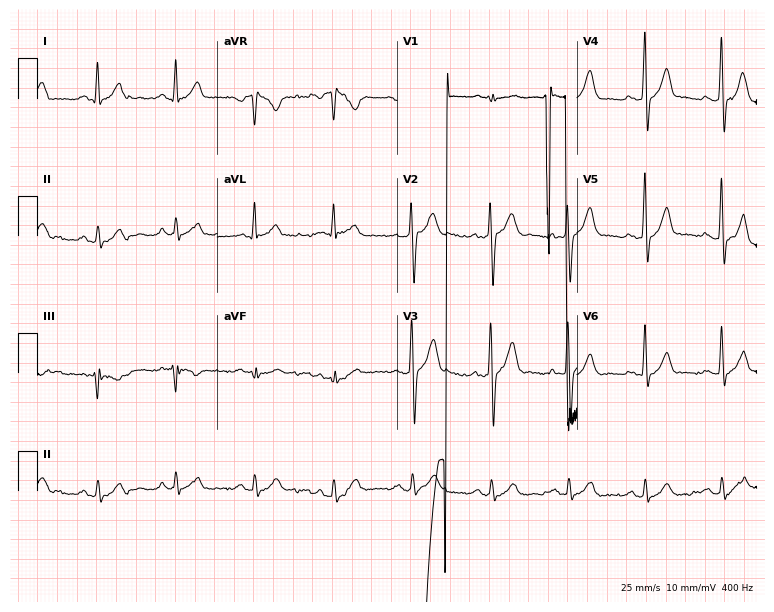
ECG (7.3-second recording at 400 Hz) — a male, 41 years old. Screened for six findings — first-degree AV block, right bundle branch block (RBBB), left bundle branch block (LBBB), sinus bradycardia, atrial fibrillation (AF), sinus tachycardia — none is recorded. Only these six findings were labelled.